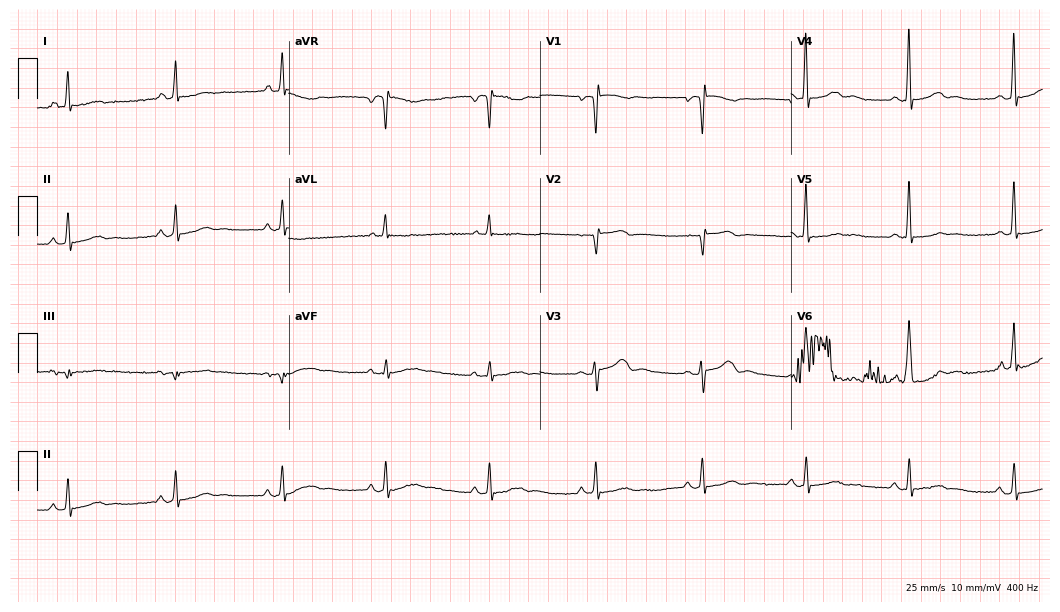
Resting 12-lead electrocardiogram. Patient: a 27-year-old male. Read as a normal ECG.